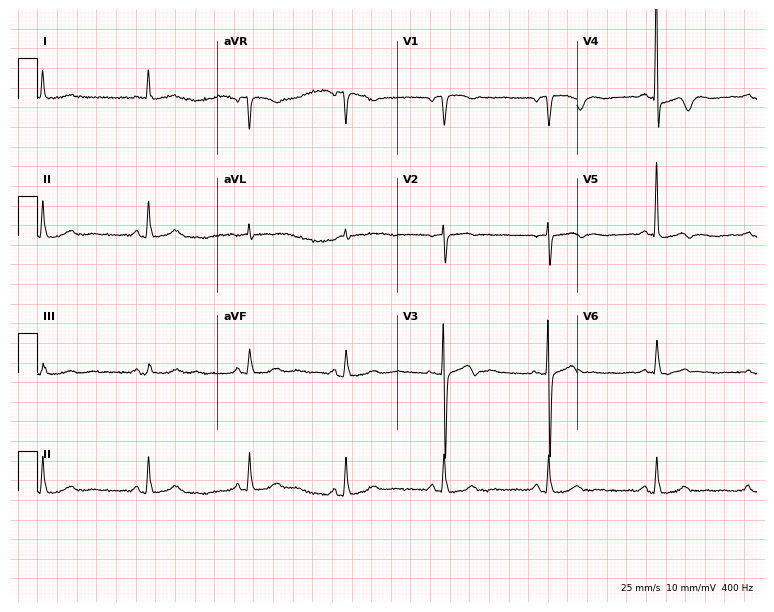
ECG (7.3-second recording at 400 Hz) — a female patient, 63 years old. Screened for six findings — first-degree AV block, right bundle branch block (RBBB), left bundle branch block (LBBB), sinus bradycardia, atrial fibrillation (AF), sinus tachycardia — none is recorded. Other findings, if any, are not listed.